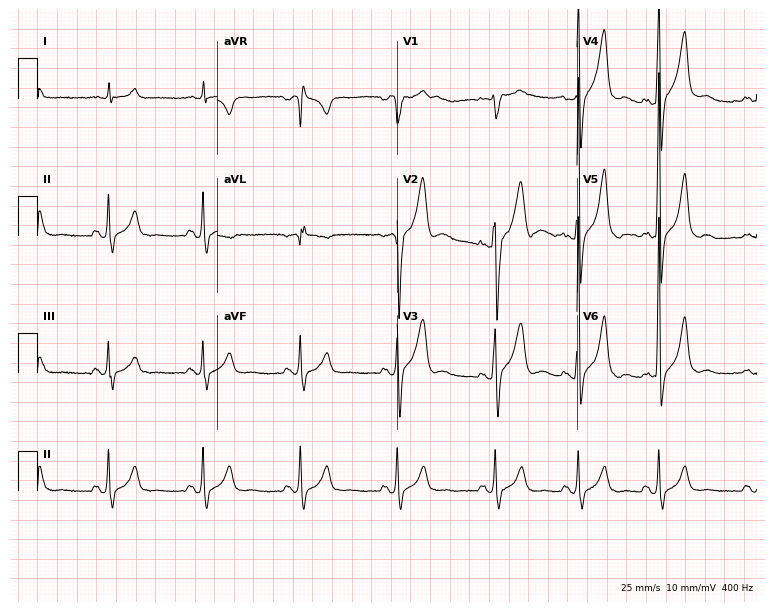
Electrocardiogram (7.3-second recording at 400 Hz), a 56-year-old male. Overall reading on record: normal ECG.